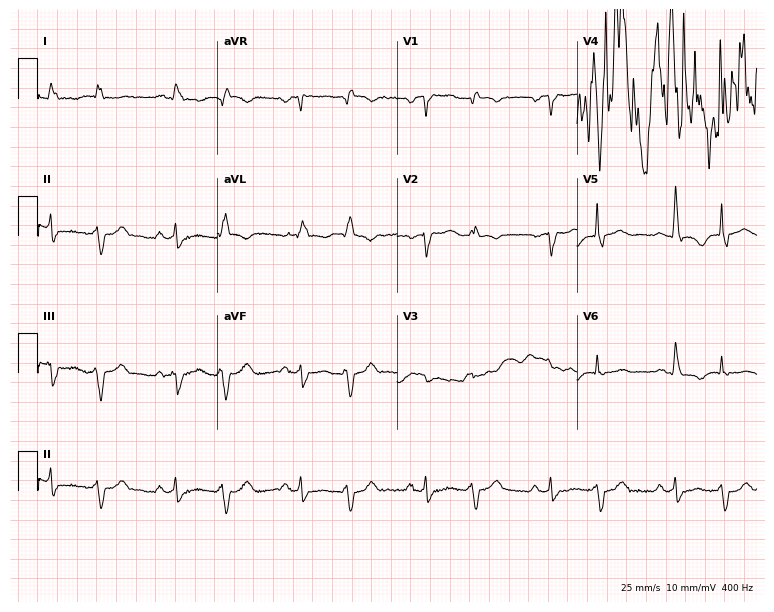
12-lead ECG from a 61-year-old woman. No first-degree AV block, right bundle branch block (RBBB), left bundle branch block (LBBB), sinus bradycardia, atrial fibrillation (AF) or sinus tachycardia recorded for this tracing.